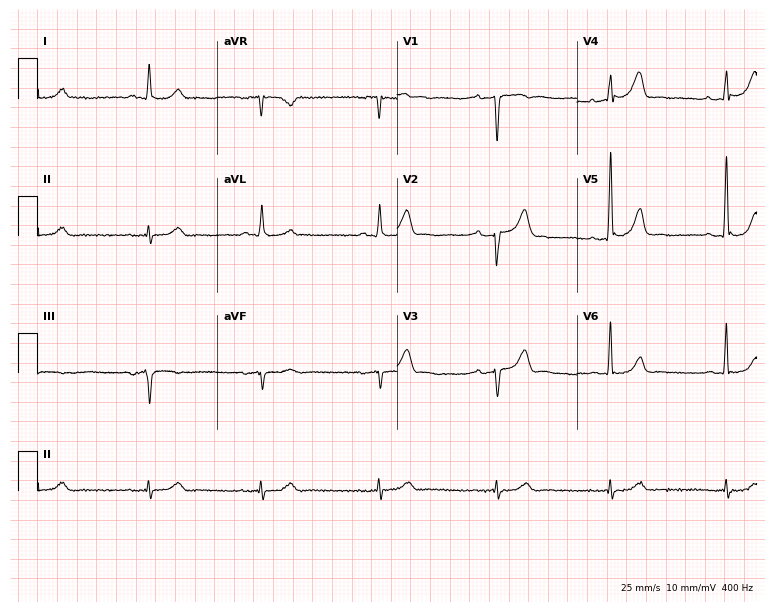
Electrocardiogram, a 65-year-old male. Of the six screened findings (first-degree AV block, right bundle branch block, left bundle branch block, sinus bradycardia, atrial fibrillation, sinus tachycardia), none is recorded.